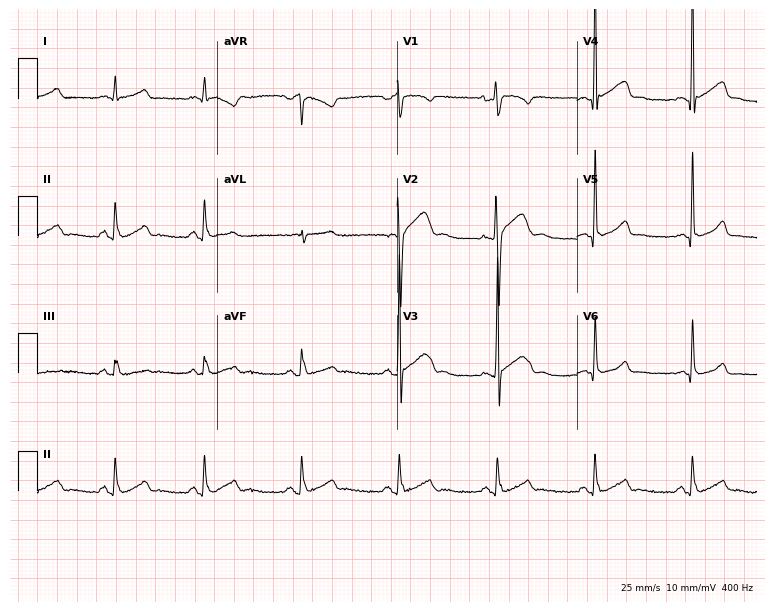
12-lead ECG from a male patient, 33 years old. Recorded interpretation: within normal limits.